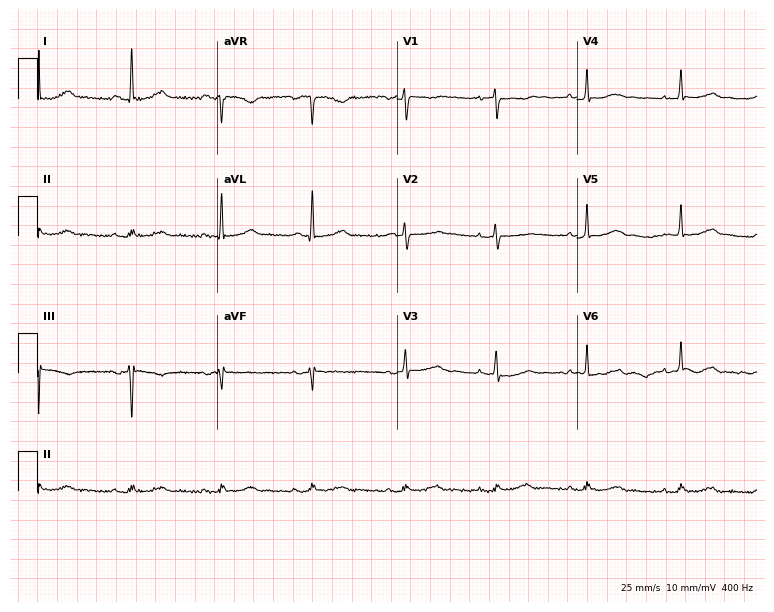
12-lead ECG from a female, 70 years old. No first-degree AV block, right bundle branch block, left bundle branch block, sinus bradycardia, atrial fibrillation or sinus tachycardia recorded for this tracing. Other findings, if any, are not listed.